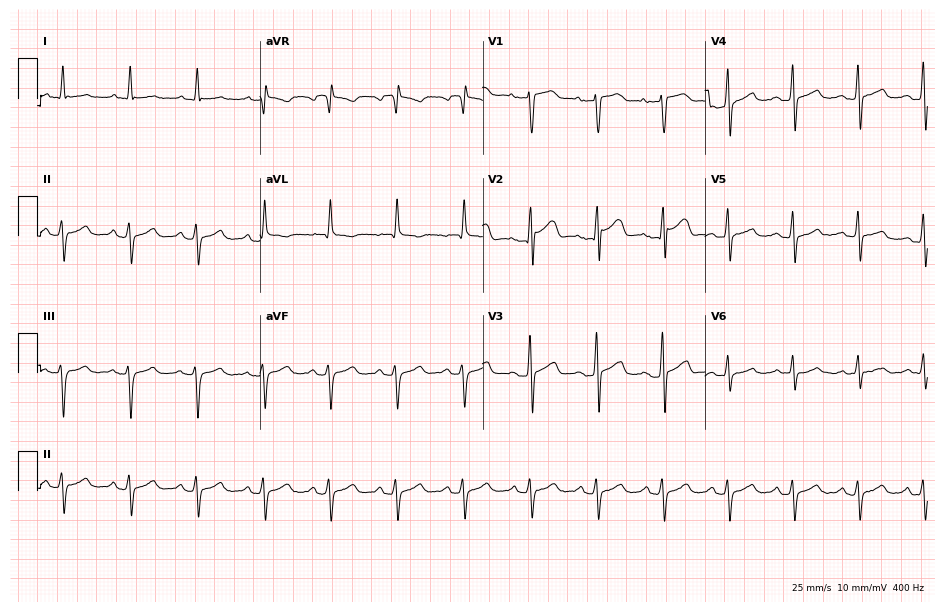
Electrocardiogram (9.1-second recording at 400 Hz), a 64-year-old man. Of the six screened findings (first-degree AV block, right bundle branch block, left bundle branch block, sinus bradycardia, atrial fibrillation, sinus tachycardia), none is recorded.